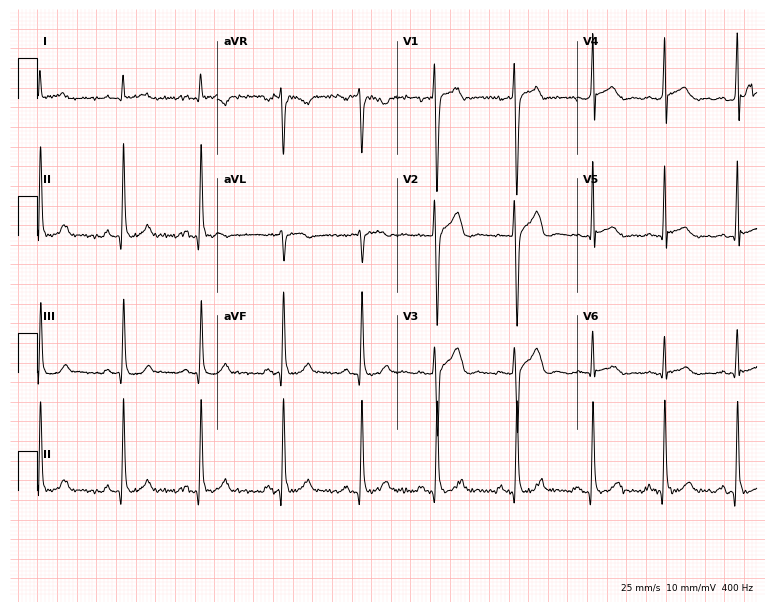
Resting 12-lead electrocardiogram. Patient: a man, 20 years old. Read as a normal ECG.